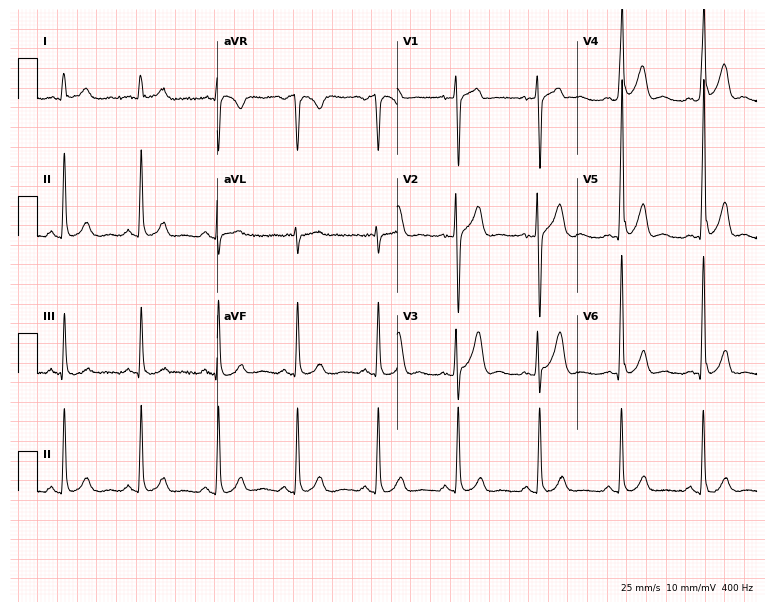
Electrocardiogram (7.3-second recording at 400 Hz), a 42-year-old male. Overall reading on record: normal ECG.